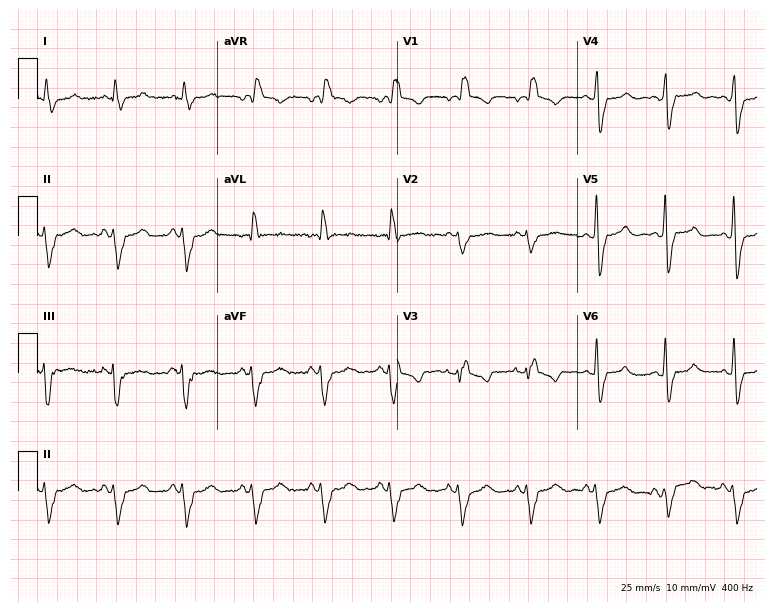
Standard 12-lead ECG recorded from a female, 74 years old (7.3-second recording at 400 Hz). The tracing shows right bundle branch block (RBBB).